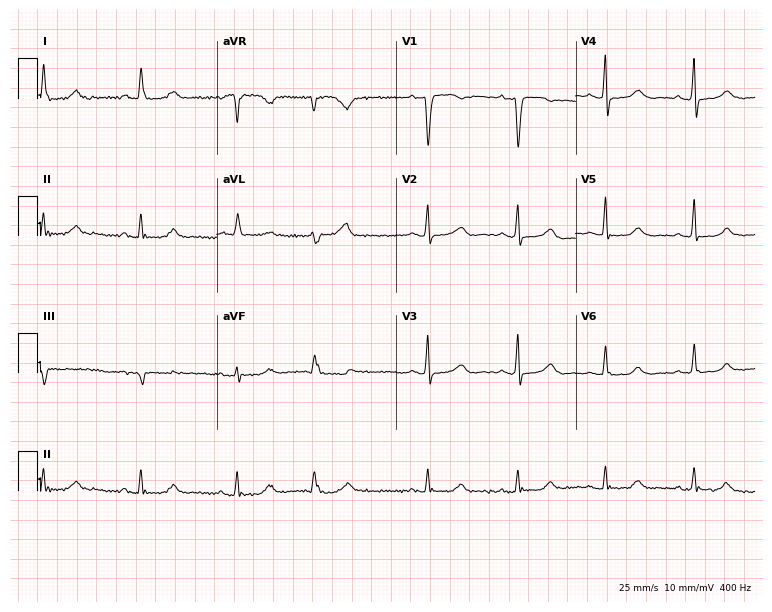
Resting 12-lead electrocardiogram. Patient: a 66-year-old woman. None of these six findings is recorded: first-degree AV block, right bundle branch block, left bundle branch block, sinus bradycardia, atrial fibrillation, sinus tachycardia. Findings outside these six are not listed.